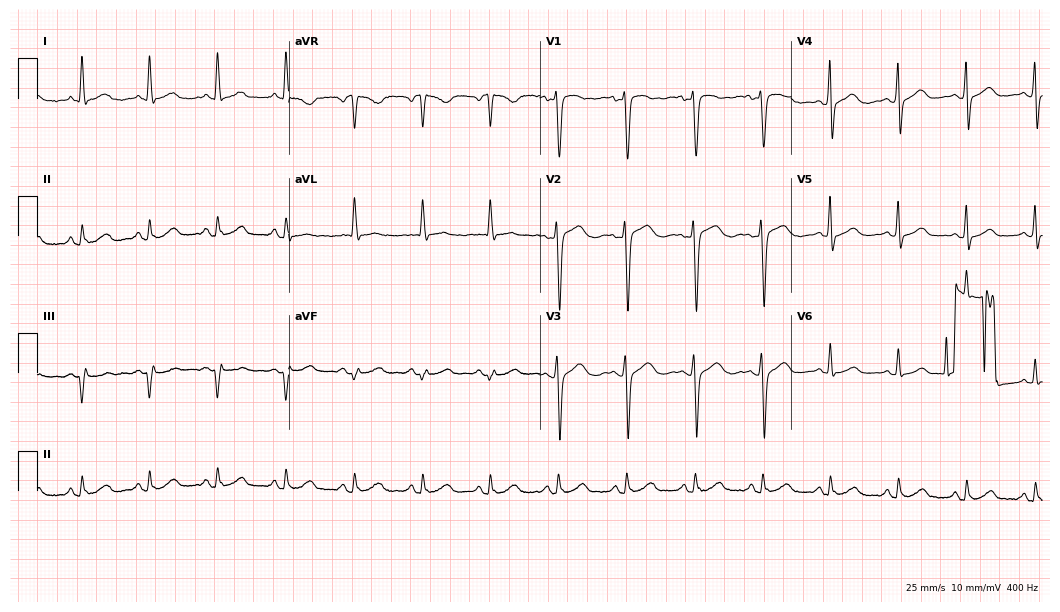
ECG (10.2-second recording at 400 Hz) — a female patient, 63 years old. Labelled as a normal ECG.